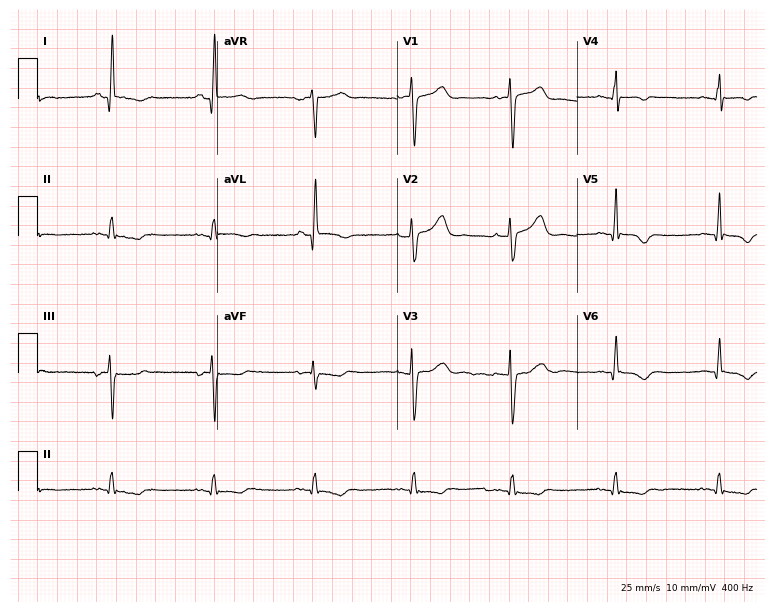
12-lead ECG (7.3-second recording at 400 Hz) from a female patient, 55 years old. Screened for six findings — first-degree AV block, right bundle branch block, left bundle branch block, sinus bradycardia, atrial fibrillation, sinus tachycardia — none is recorded.